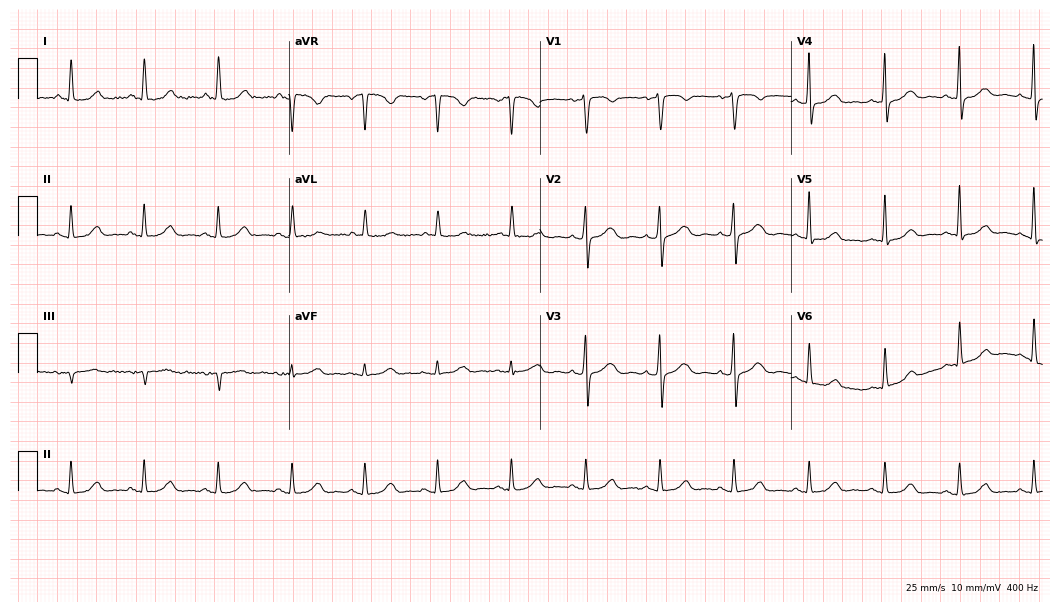
12-lead ECG from a female, 58 years old. Recorded interpretation: within normal limits.